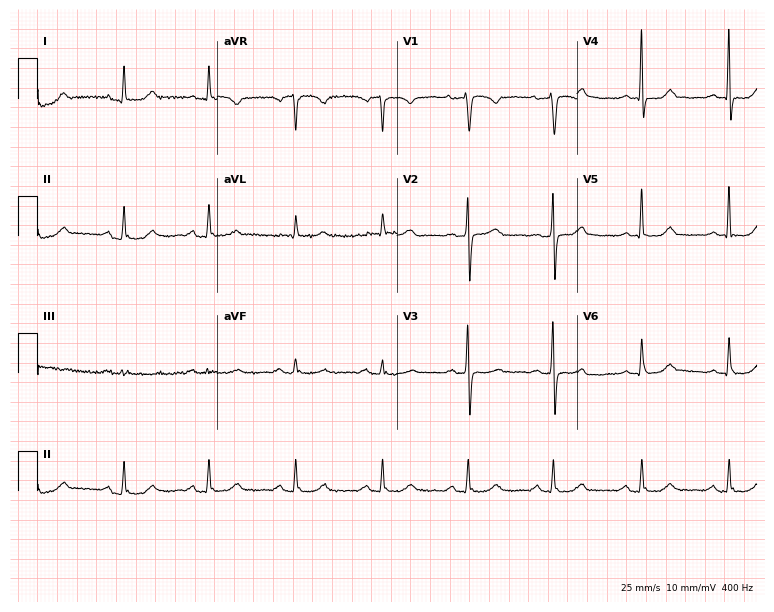
12-lead ECG from a 72-year-old woman. Screened for six findings — first-degree AV block, right bundle branch block (RBBB), left bundle branch block (LBBB), sinus bradycardia, atrial fibrillation (AF), sinus tachycardia — none is recorded.